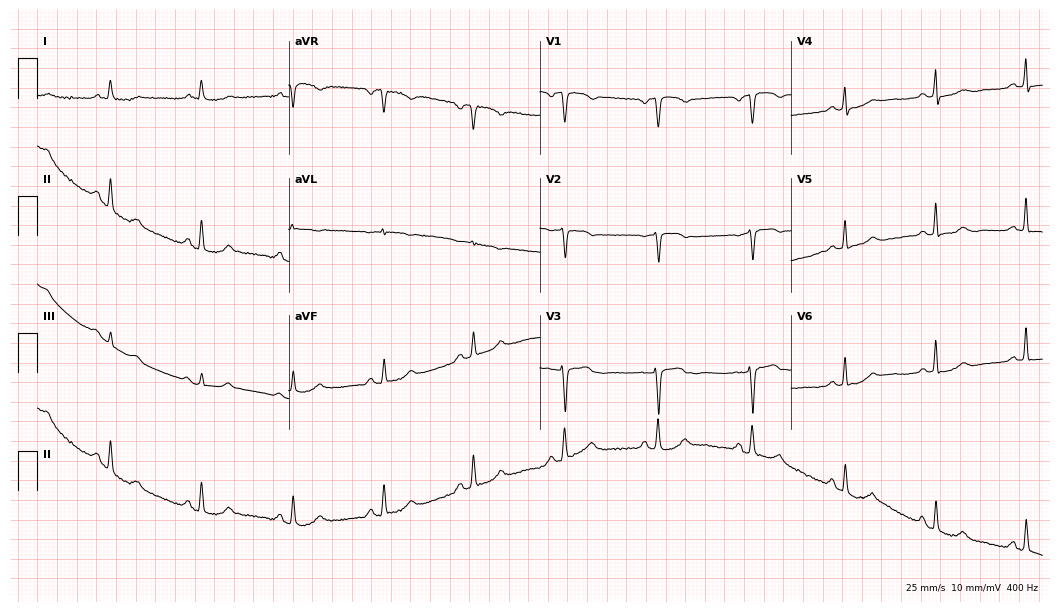
Resting 12-lead electrocardiogram (10.2-second recording at 400 Hz). Patient: a female, 82 years old. Read as a normal ECG.